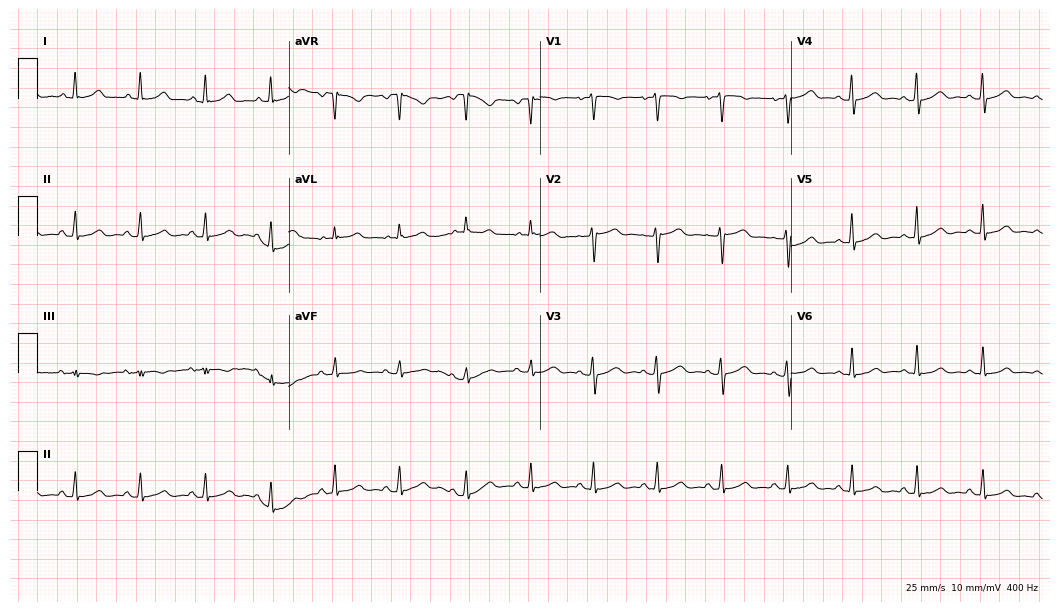
Resting 12-lead electrocardiogram (10.2-second recording at 400 Hz). Patient: a woman, 46 years old. Read as a normal ECG.